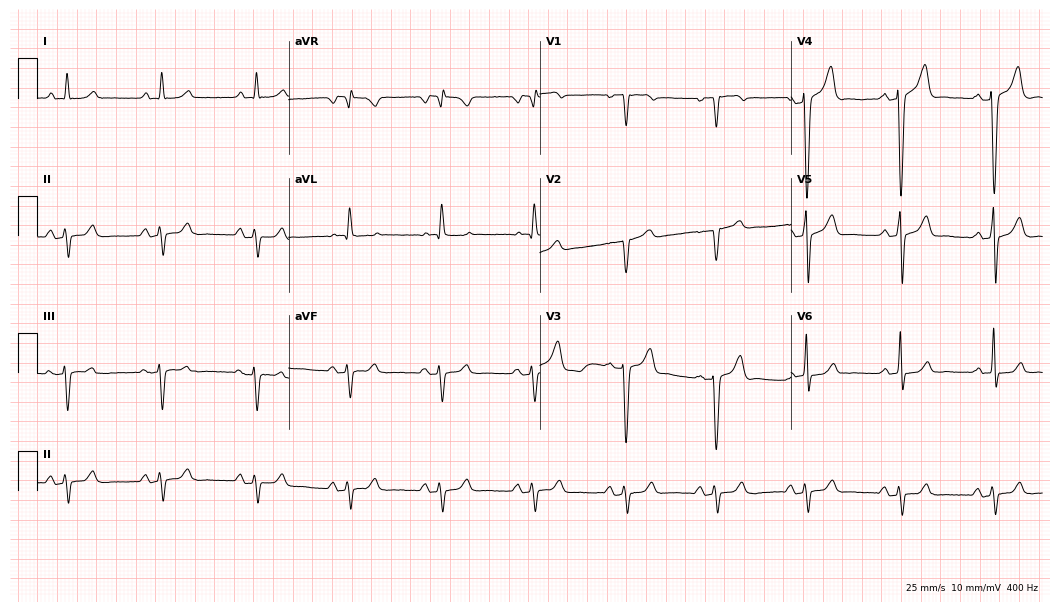
Electrocardiogram, a 38-year-old man. Of the six screened findings (first-degree AV block, right bundle branch block (RBBB), left bundle branch block (LBBB), sinus bradycardia, atrial fibrillation (AF), sinus tachycardia), none is recorded.